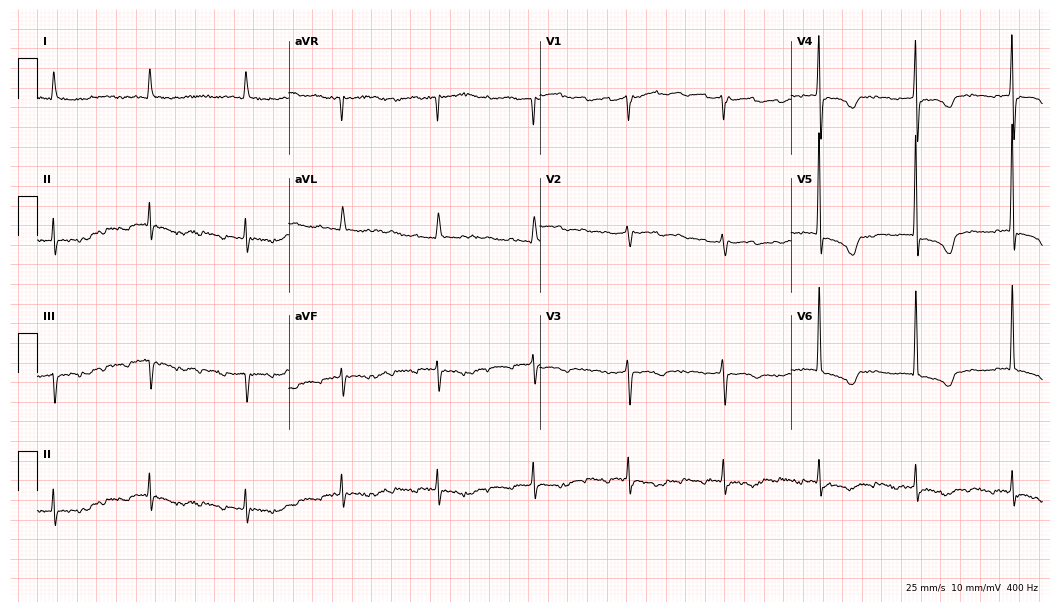
Standard 12-lead ECG recorded from a female, 85 years old (10.2-second recording at 400 Hz). None of these six findings is recorded: first-degree AV block, right bundle branch block, left bundle branch block, sinus bradycardia, atrial fibrillation, sinus tachycardia. Findings outside these six are not listed.